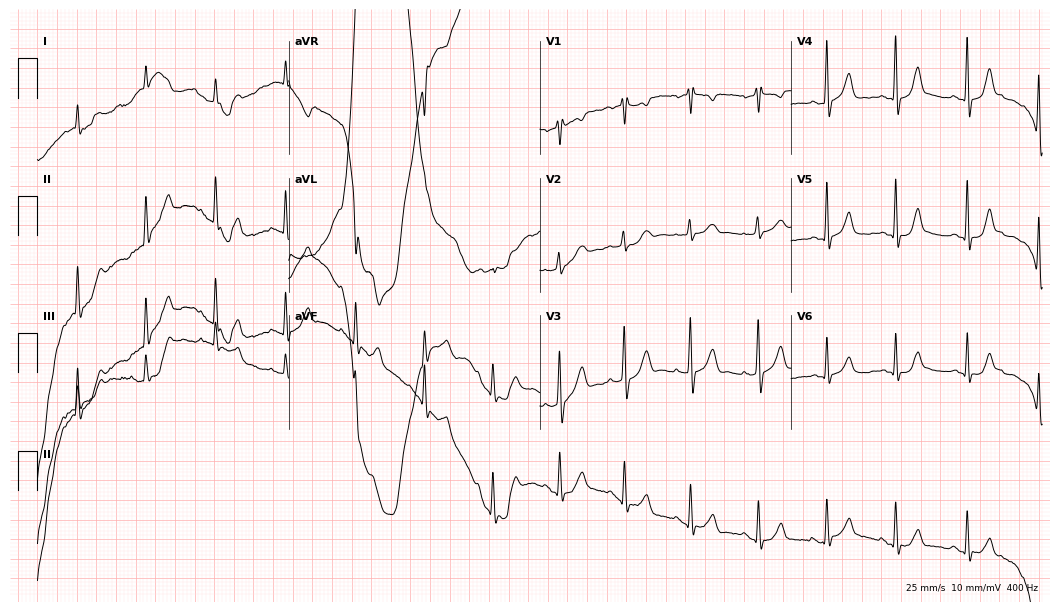
Electrocardiogram, a male patient, 60 years old. Of the six screened findings (first-degree AV block, right bundle branch block (RBBB), left bundle branch block (LBBB), sinus bradycardia, atrial fibrillation (AF), sinus tachycardia), none is recorded. Findings outside these six are not listed.